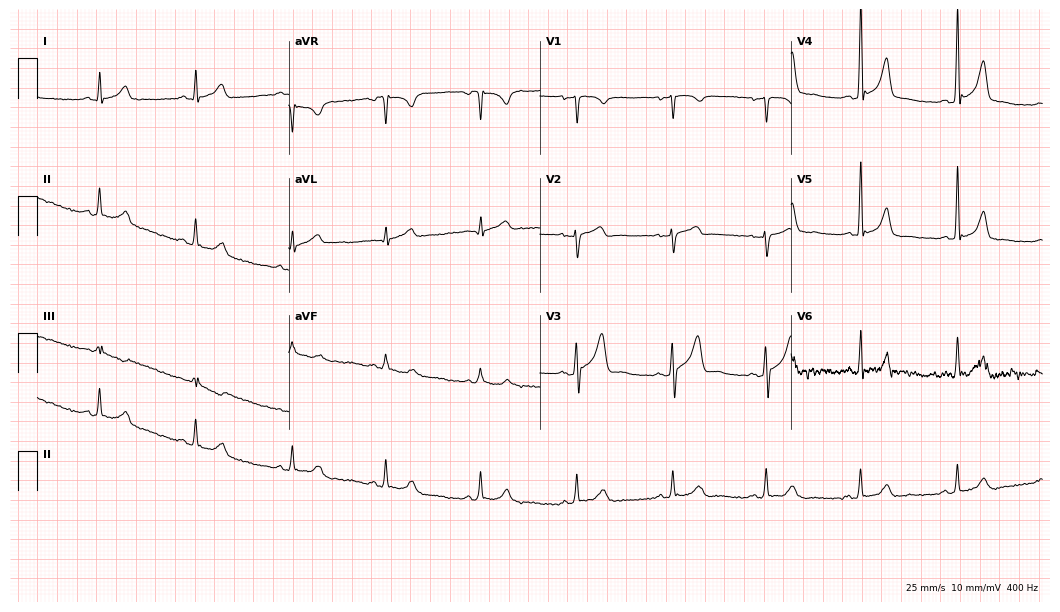
Resting 12-lead electrocardiogram. Patient: a 39-year-old male. Read as a normal ECG.